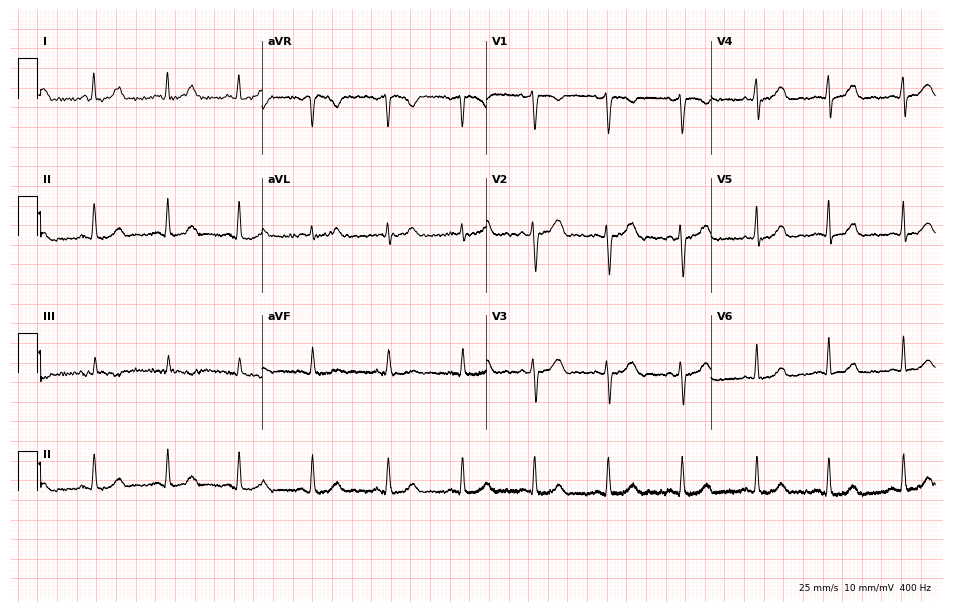
12-lead ECG from a female patient, 26 years old (9.2-second recording at 400 Hz). Recorded interpretation: within normal limits.